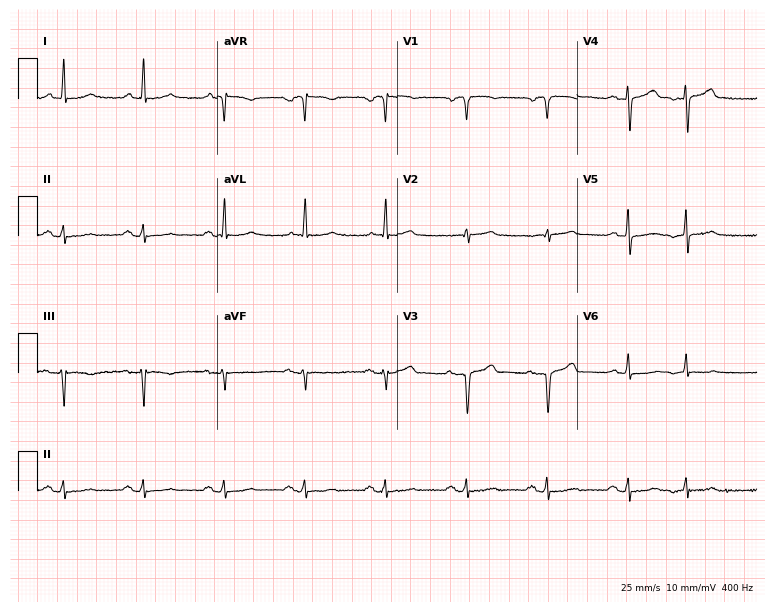
12-lead ECG from a 76-year-old man. No first-degree AV block, right bundle branch block, left bundle branch block, sinus bradycardia, atrial fibrillation or sinus tachycardia recorded for this tracing.